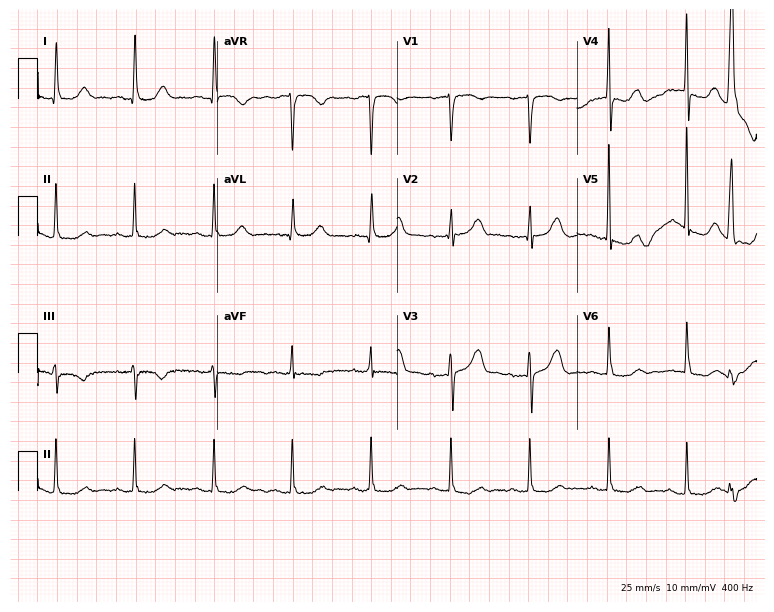
ECG (7.3-second recording at 400 Hz) — a female patient, 75 years old. Labelled as a normal ECG.